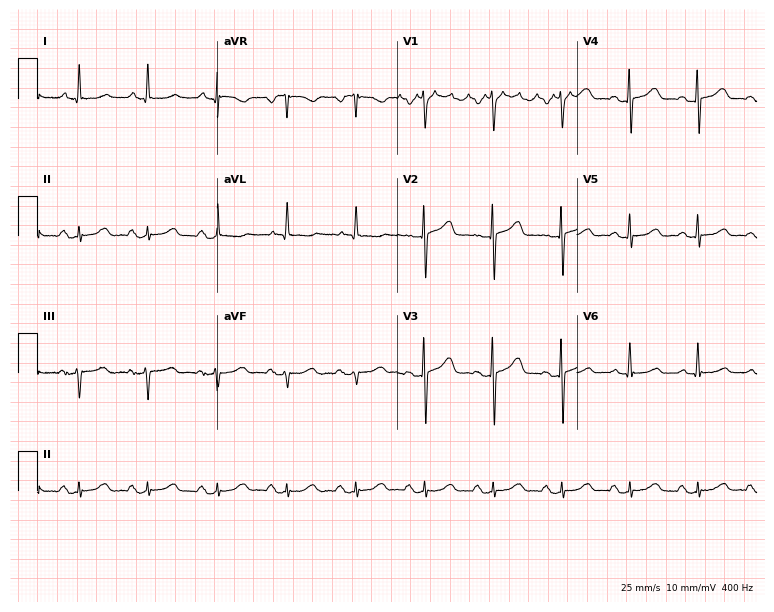
ECG — a woman, 78 years old. Screened for six findings — first-degree AV block, right bundle branch block (RBBB), left bundle branch block (LBBB), sinus bradycardia, atrial fibrillation (AF), sinus tachycardia — none is recorded.